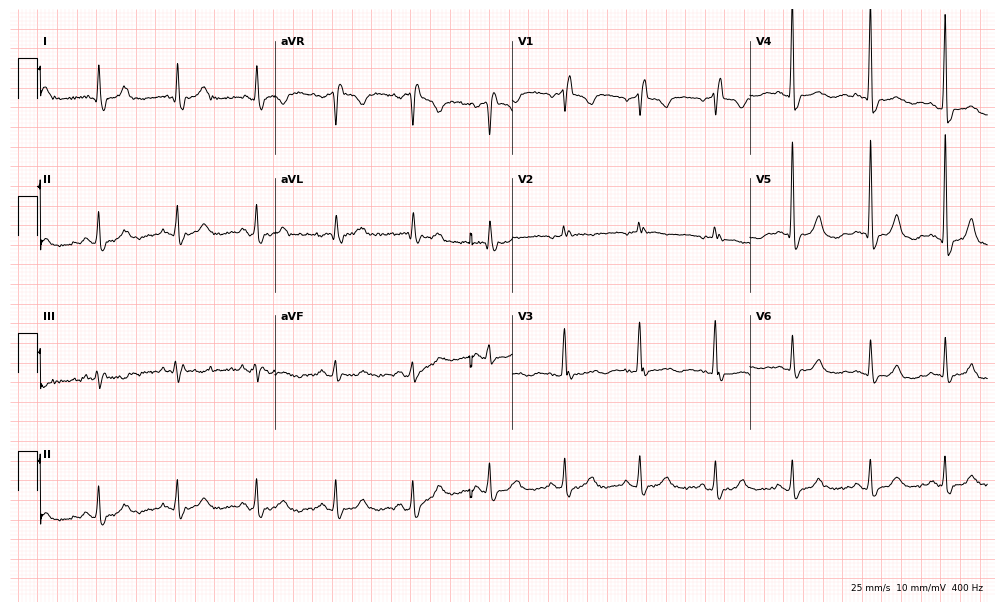
12-lead ECG from a 62-year-old male patient. Findings include right bundle branch block.